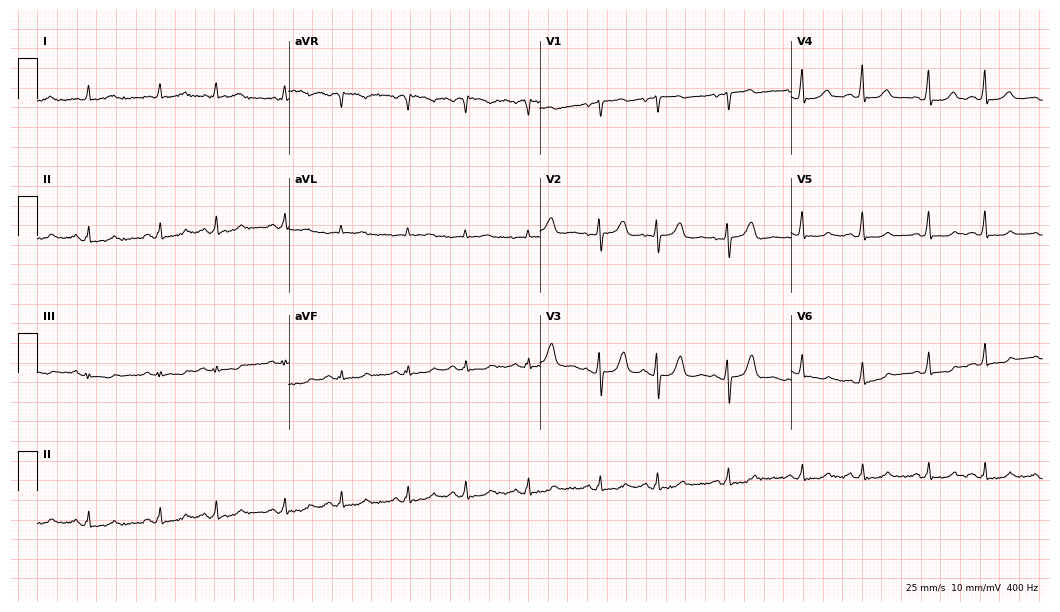
12-lead ECG from a female patient, 84 years old. No first-degree AV block, right bundle branch block (RBBB), left bundle branch block (LBBB), sinus bradycardia, atrial fibrillation (AF) or sinus tachycardia recorded for this tracing.